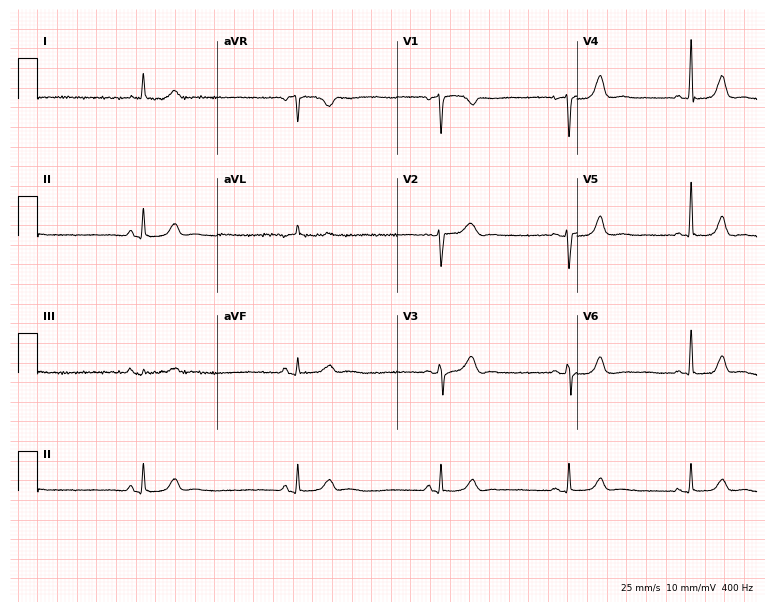
12-lead ECG from a 49-year-old female patient. No first-degree AV block, right bundle branch block (RBBB), left bundle branch block (LBBB), sinus bradycardia, atrial fibrillation (AF) or sinus tachycardia recorded for this tracing.